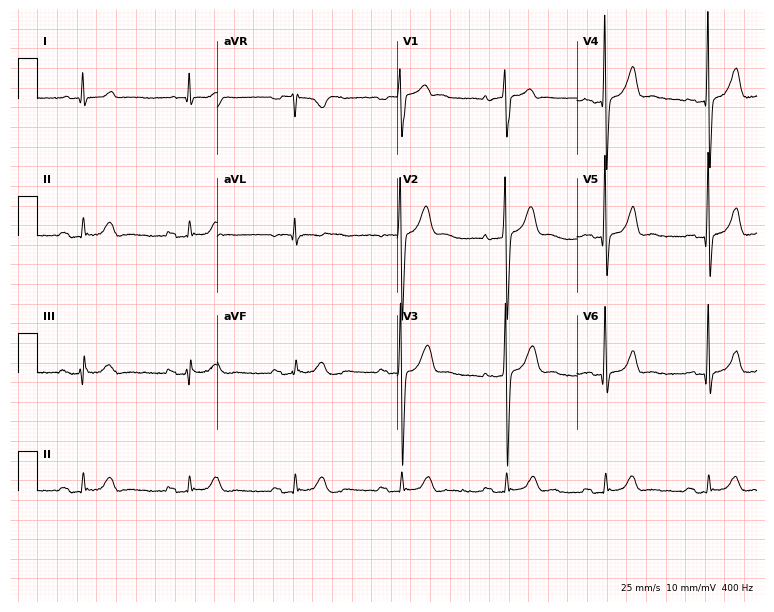
ECG — a 55-year-old man. Screened for six findings — first-degree AV block, right bundle branch block, left bundle branch block, sinus bradycardia, atrial fibrillation, sinus tachycardia — none is recorded.